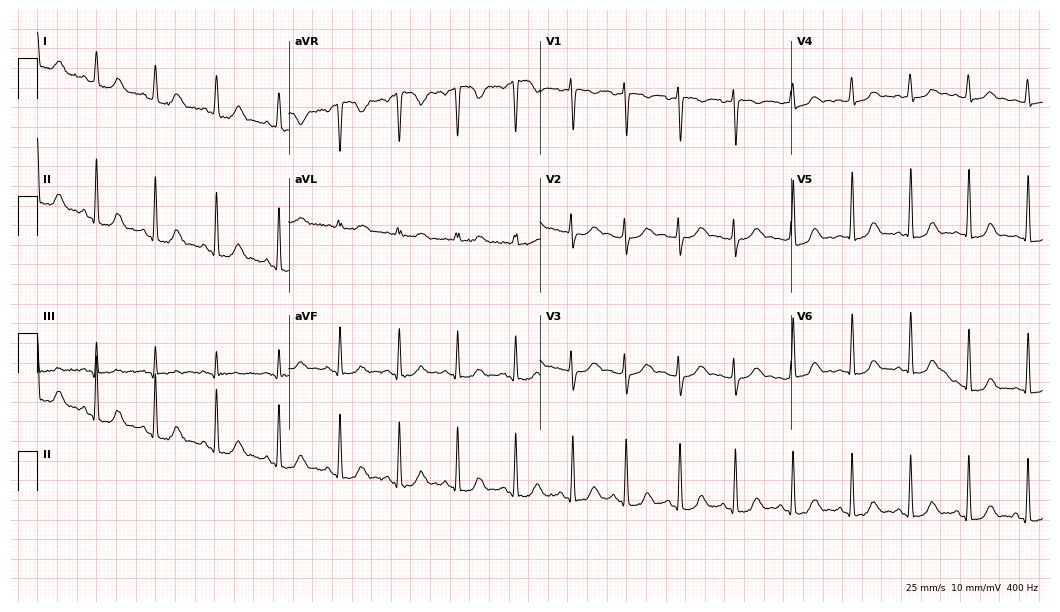
Electrocardiogram (10.2-second recording at 400 Hz), a woman, 30 years old. Of the six screened findings (first-degree AV block, right bundle branch block, left bundle branch block, sinus bradycardia, atrial fibrillation, sinus tachycardia), none is recorded. Only these six findings were labelled.